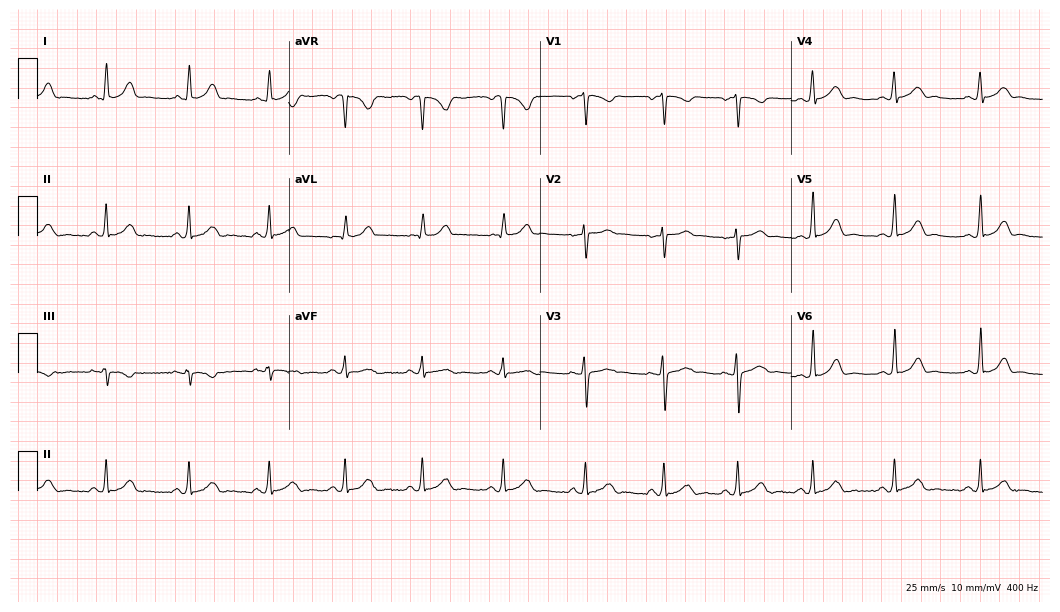
Resting 12-lead electrocardiogram (10.2-second recording at 400 Hz). Patient: a 36-year-old female. None of these six findings is recorded: first-degree AV block, right bundle branch block, left bundle branch block, sinus bradycardia, atrial fibrillation, sinus tachycardia. Only these six findings were labelled.